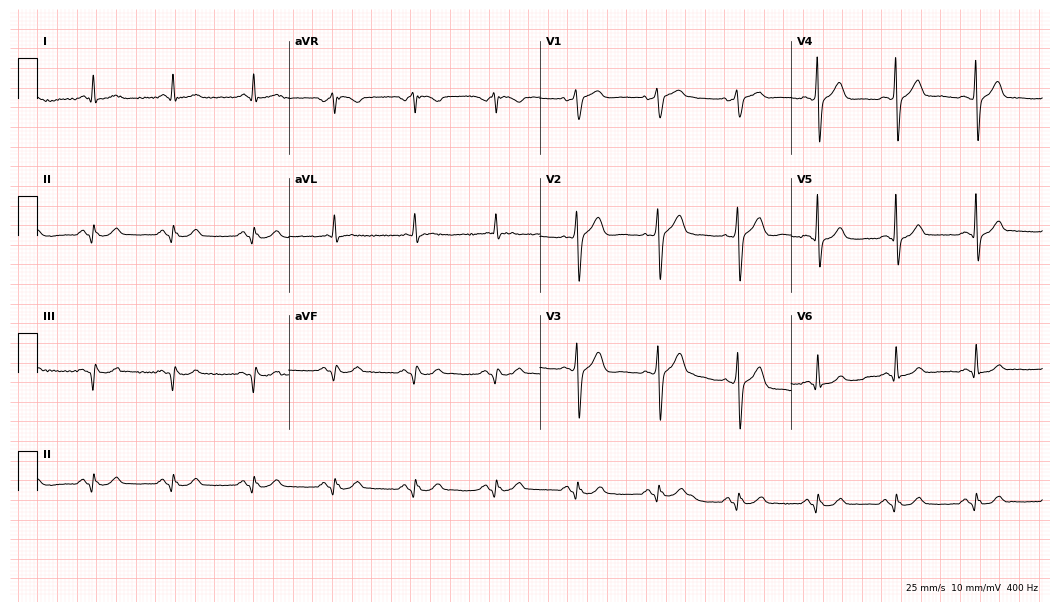
ECG (10.2-second recording at 400 Hz) — a male, 63 years old. Labelled as a normal ECG.